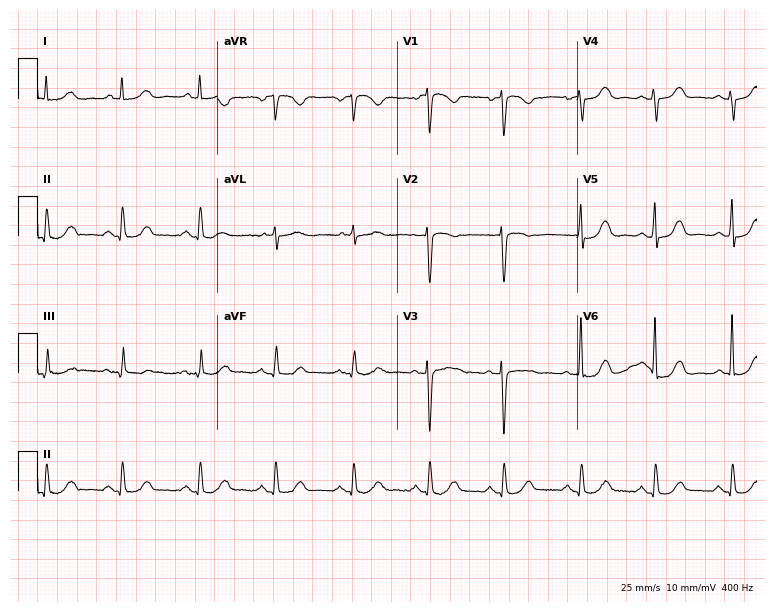
12-lead ECG from a woman, 83 years old. Recorded interpretation: within normal limits.